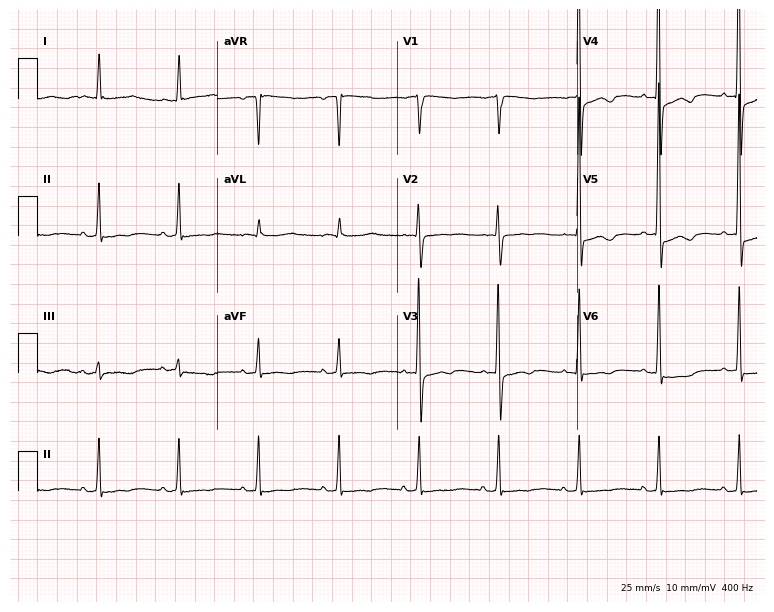
12-lead ECG from a 79-year-old female patient. Screened for six findings — first-degree AV block, right bundle branch block (RBBB), left bundle branch block (LBBB), sinus bradycardia, atrial fibrillation (AF), sinus tachycardia — none is recorded.